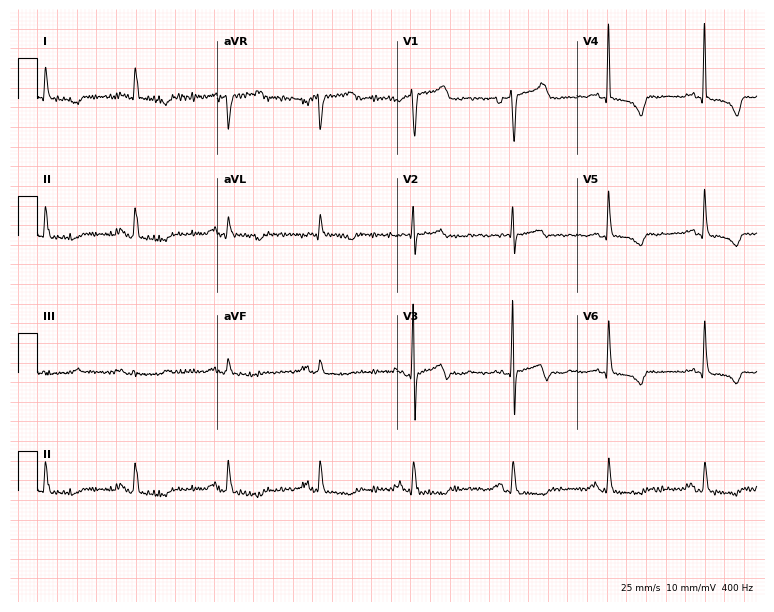
ECG (7.3-second recording at 400 Hz) — an 82-year-old male. Screened for six findings — first-degree AV block, right bundle branch block, left bundle branch block, sinus bradycardia, atrial fibrillation, sinus tachycardia — none is recorded.